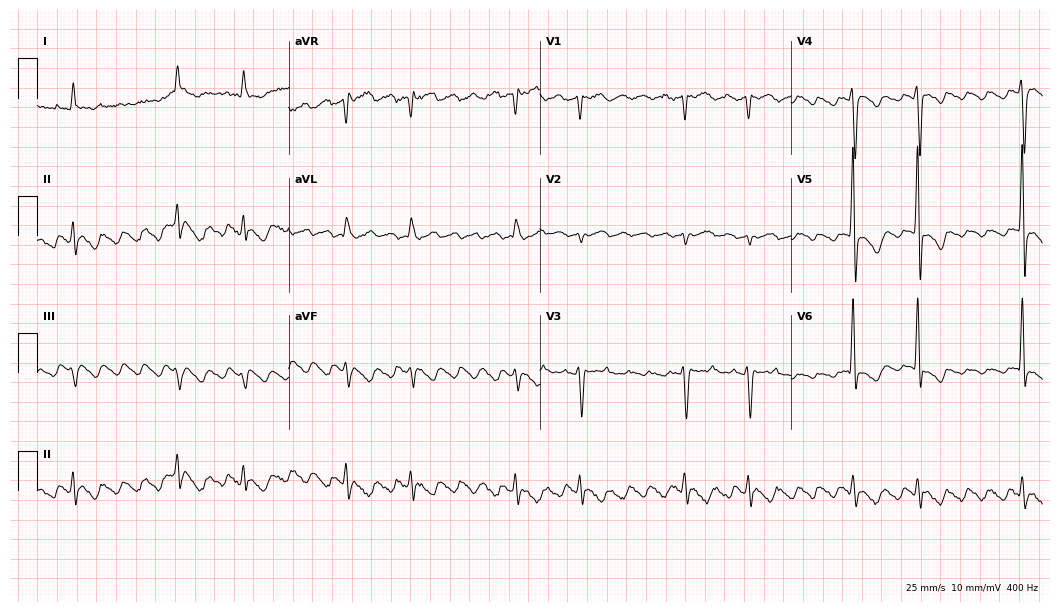
ECG (10.2-second recording at 400 Hz) — a 61-year-old male patient. Screened for six findings — first-degree AV block, right bundle branch block, left bundle branch block, sinus bradycardia, atrial fibrillation, sinus tachycardia — none is recorded.